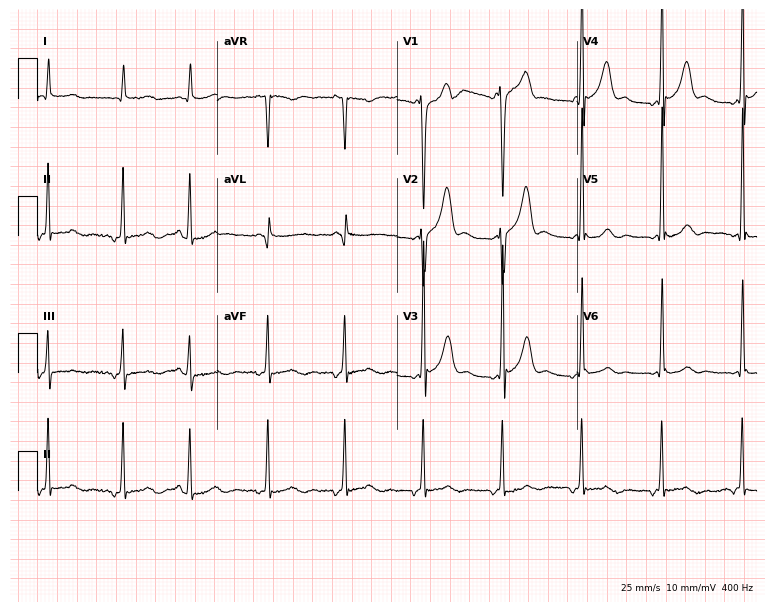
Resting 12-lead electrocardiogram (7.3-second recording at 400 Hz). Patient: a 55-year-old male. None of these six findings is recorded: first-degree AV block, right bundle branch block (RBBB), left bundle branch block (LBBB), sinus bradycardia, atrial fibrillation (AF), sinus tachycardia. Other findings, if any, are not listed.